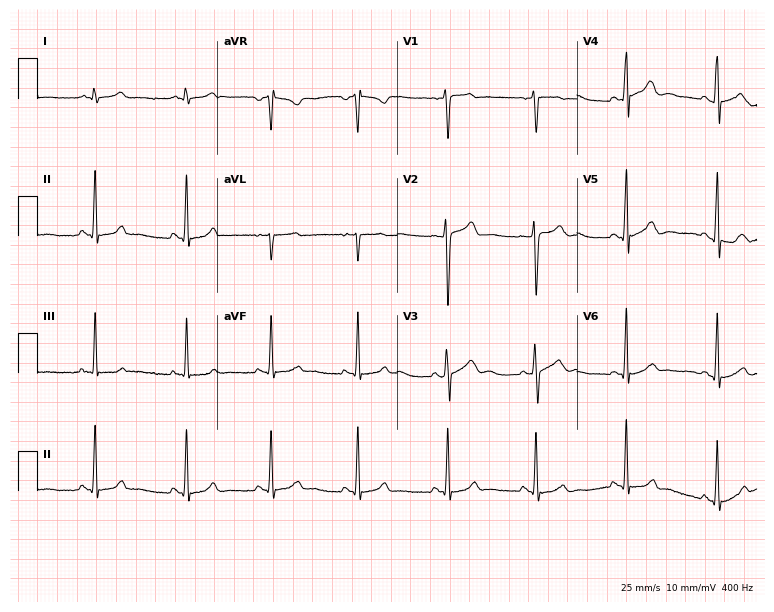
12-lead ECG (7.3-second recording at 400 Hz) from a 21-year-old man. Labelled as a normal ECG.